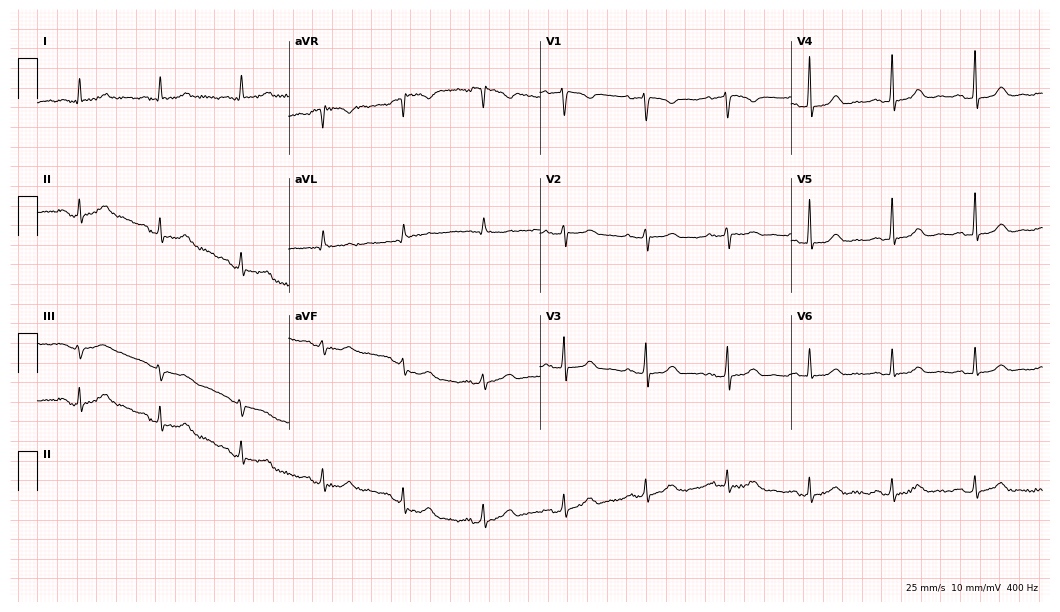
Standard 12-lead ECG recorded from a female patient, 83 years old (10.2-second recording at 400 Hz). Read as a normal ECG.